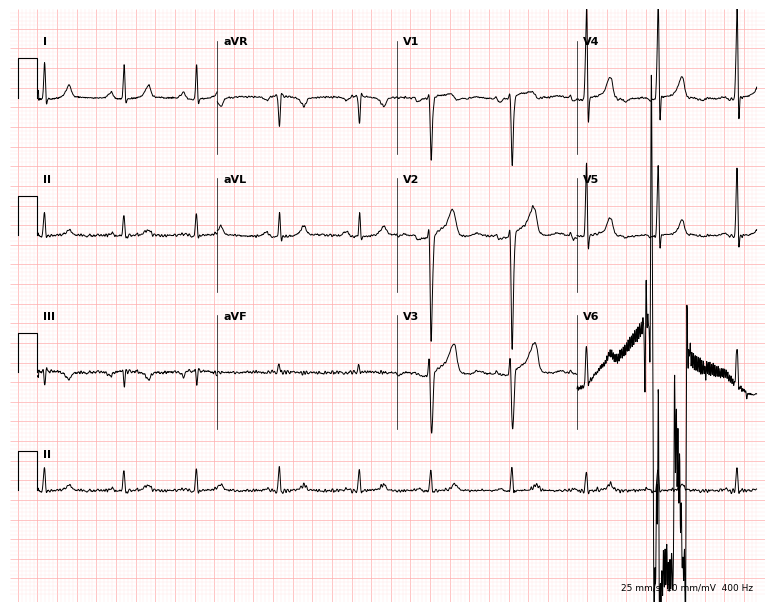
ECG (7.3-second recording at 400 Hz) — a 42-year-old female. Labelled as a normal ECG.